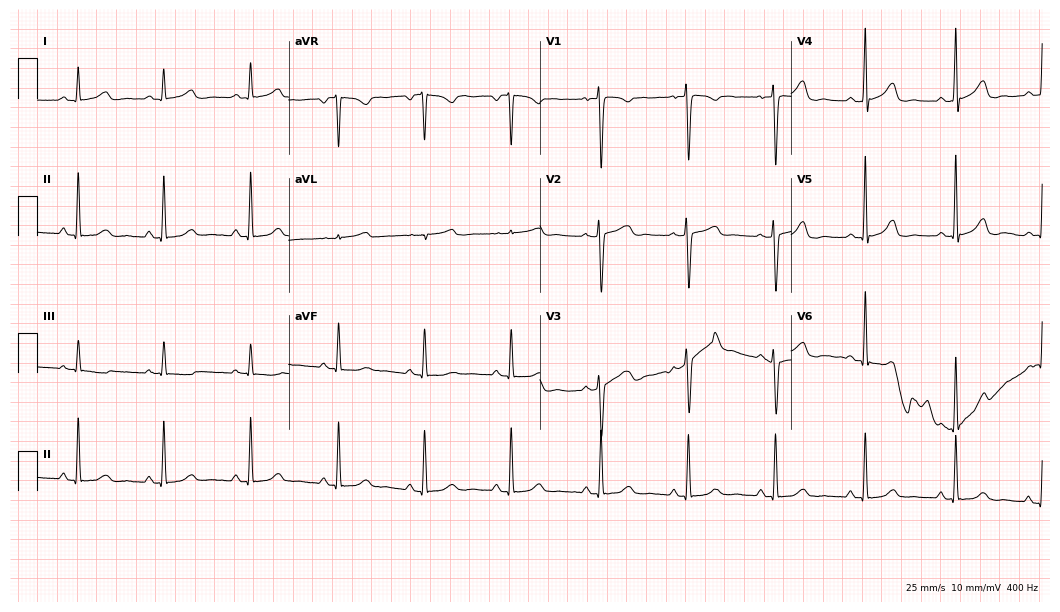
Electrocardiogram, a female, 37 years old. Overall reading on record: normal ECG.